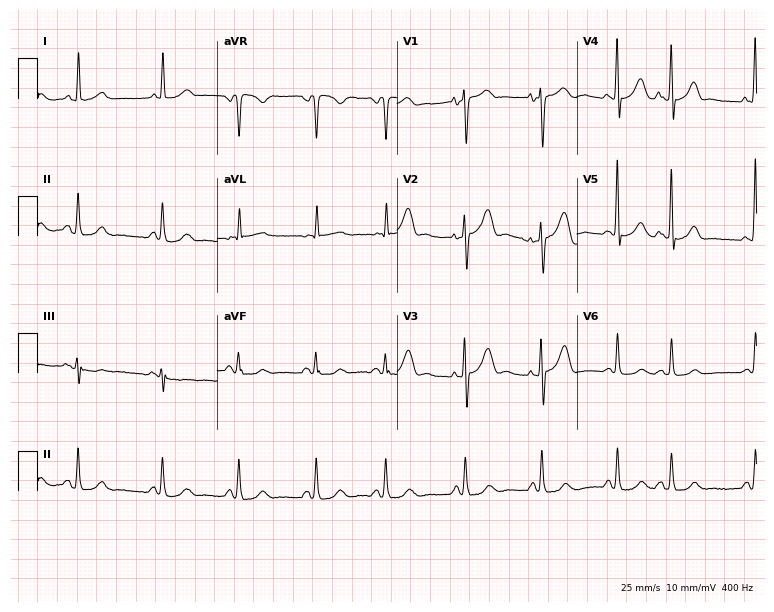
Electrocardiogram (7.3-second recording at 400 Hz), a 71-year-old woman. Of the six screened findings (first-degree AV block, right bundle branch block, left bundle branch block, sinus bradycardia, atrial fibrillation, sinus tachycardia), none is recorded.